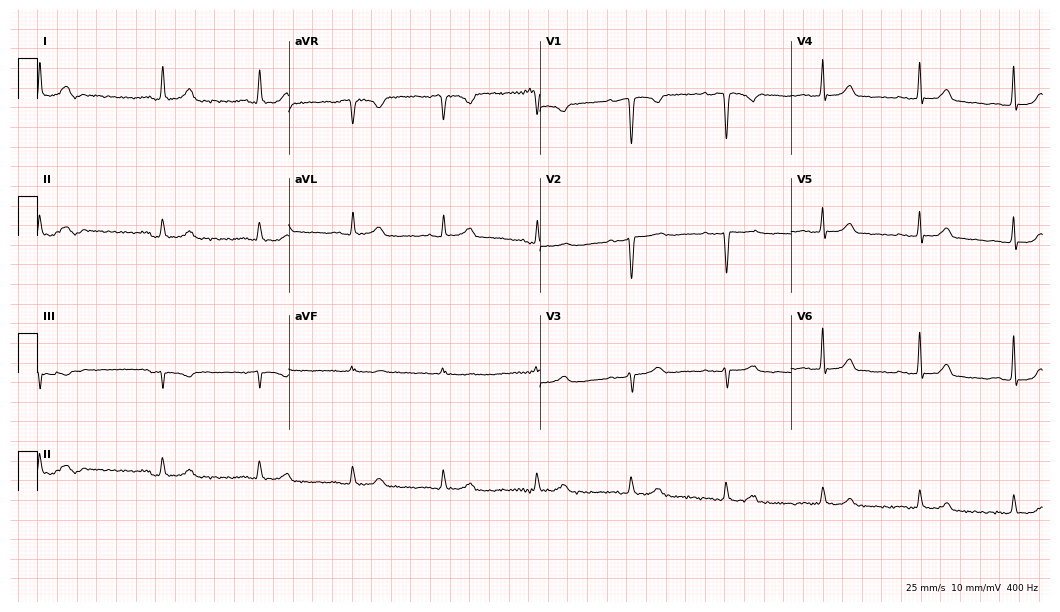
12-lead ECG from a female, 53 years old. No first-degree AV block, right bundle branch block (RBBB), left bundle branch block (LBBB), sinus bradycardia, atrial fibrillation (AF) or sinus tachycardia recorded for this tracing.